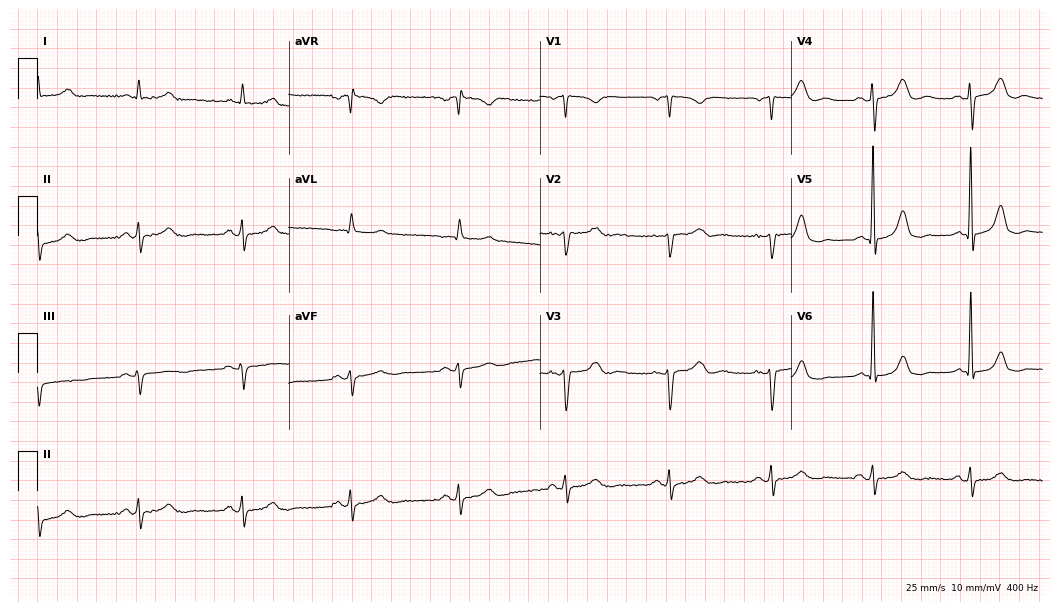
Resting 12-lead electrocardiogram (10.2-second recording at 400 Hz). Patient: a 79-year-old male. Read as a normal ECG.